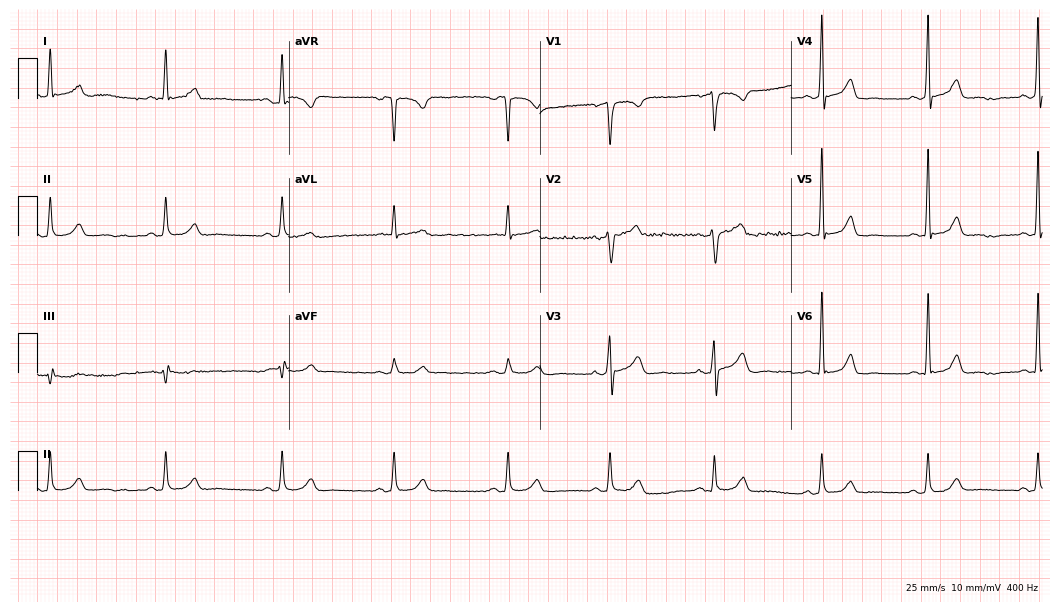
ECG — a man, 50 years old. Labelled as a normal ECG.